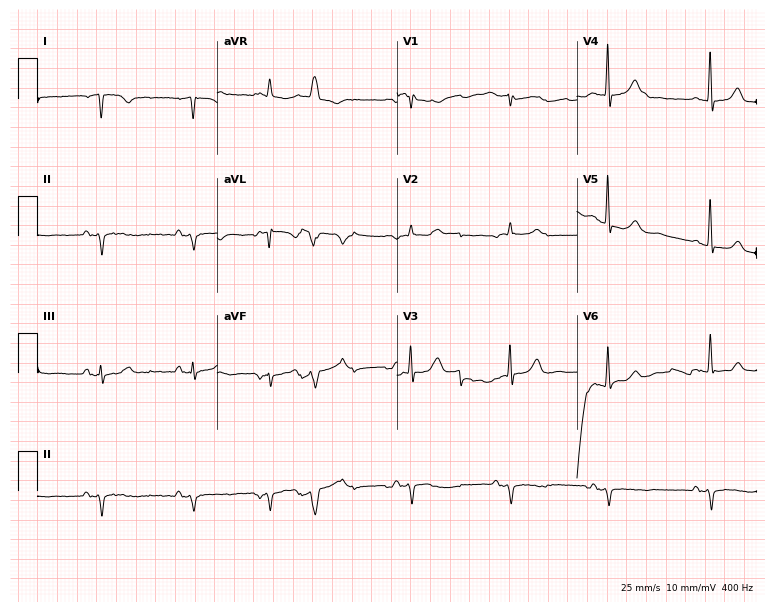
12-lead ECG from a male, 82 years old (7.3-second recording at 400 Hz). No first-degree AV block, right bundle branch block, left bundle branch block, sinus bradycardia, atrial fibrillation or sinus tachycardia recorded for this tracing.